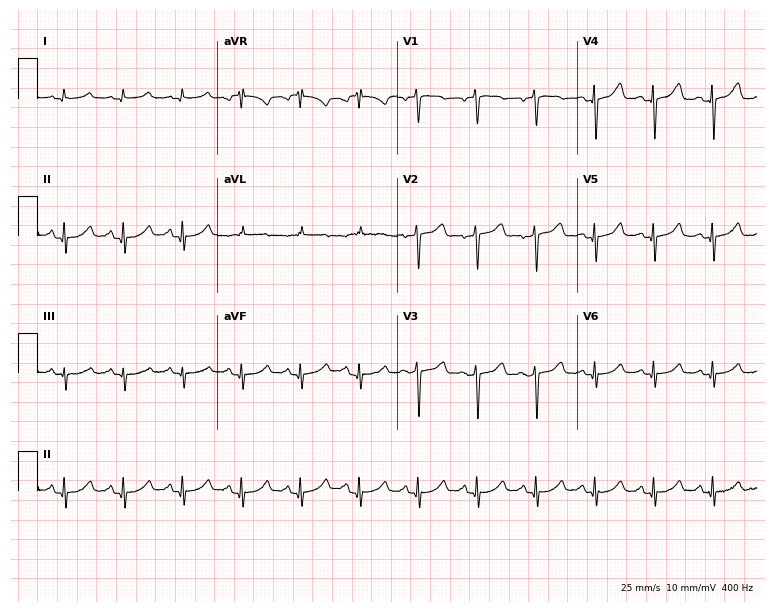
ECG — a female, 55 years old. Findings include sinus tachycardia (a sinus rate of 100 beats per minute or more).